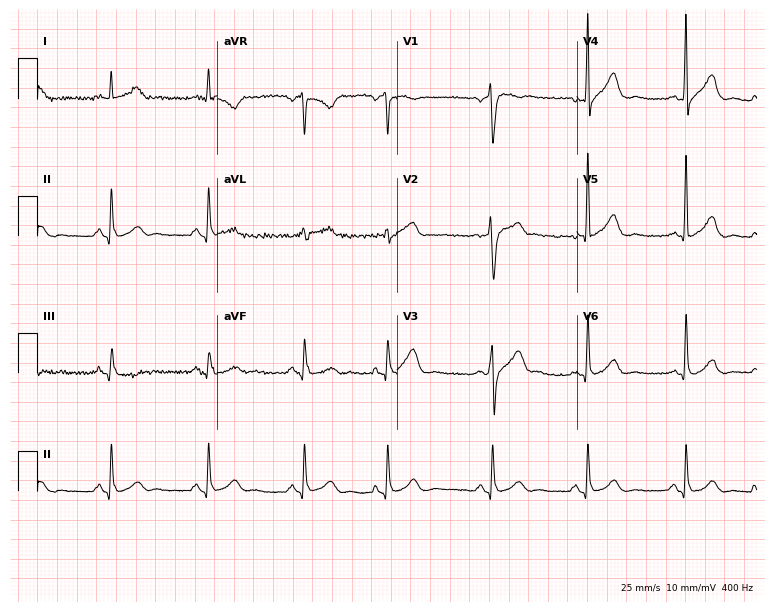
12-lead ECG from a male, 55 years old (7.3-second recording at 400 Hz). Recorded interpretation: within normal limits.